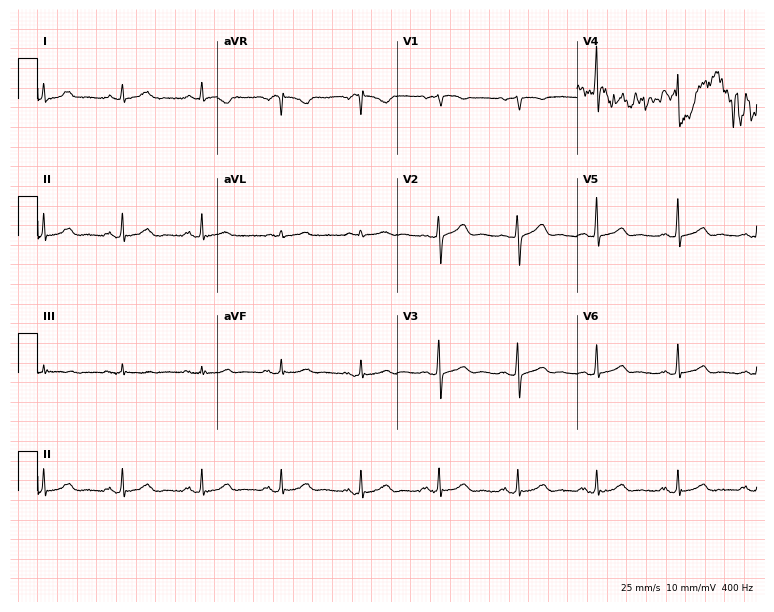
12-lead ECG from a 68-year-old woman (7.3-second recording at 400 Hz). Recorded interpretation: within normal limits.